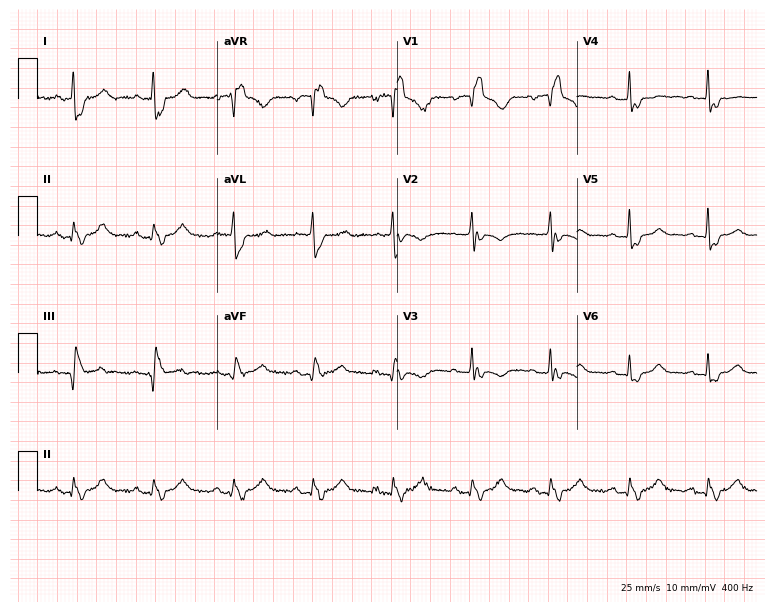
ECG (7.3-second recording at 400 Hz) — a 62-year-old female. Findings include right bundle branch block (RBBB).